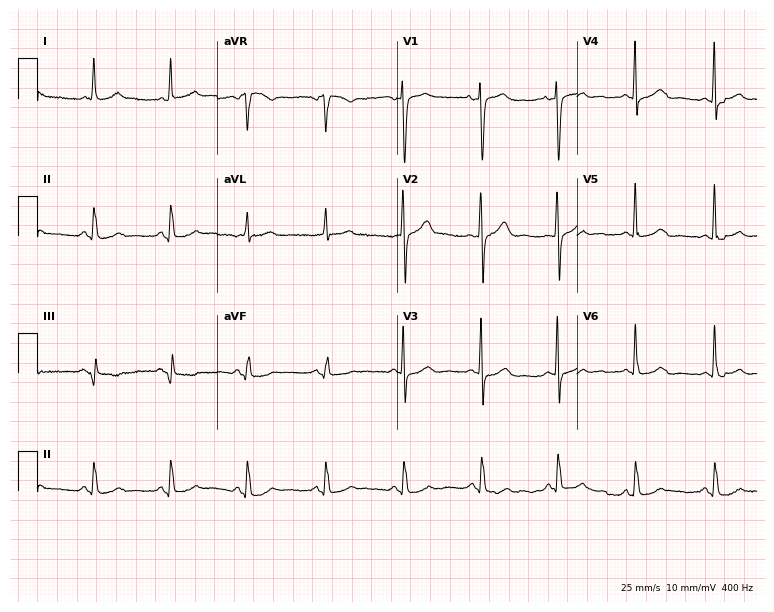
Standard 12-lead ECG recorded from an 83-year-old woman (7.3-second recording at 400 Hz). Read as a normal ECG.